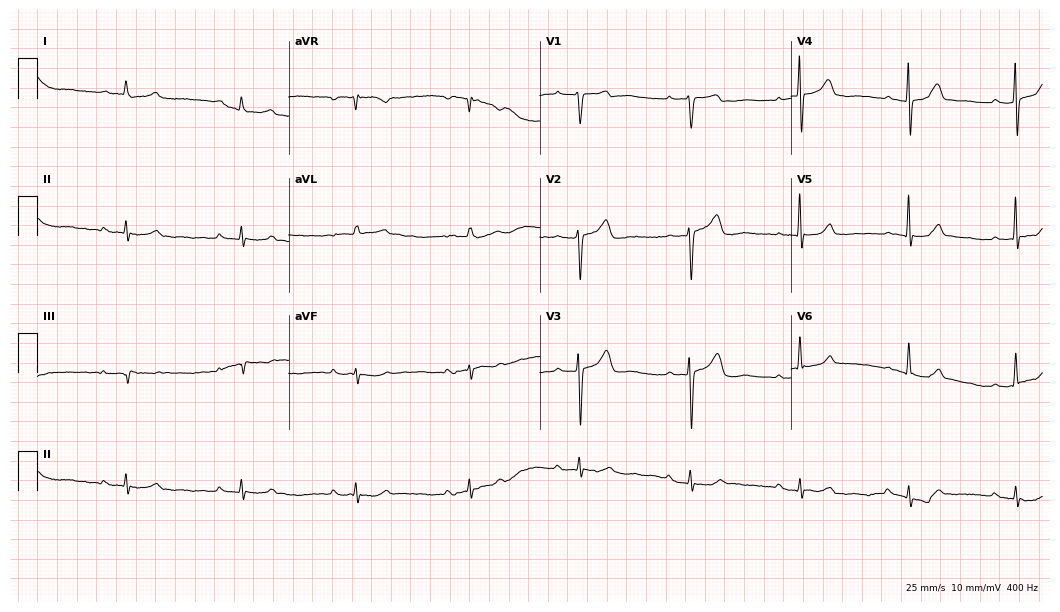
Resting 12-lead electrocardiogram (10.2-second recording at 400 Hz). Patient: a male, 65 years old. Read as a normal ECG.